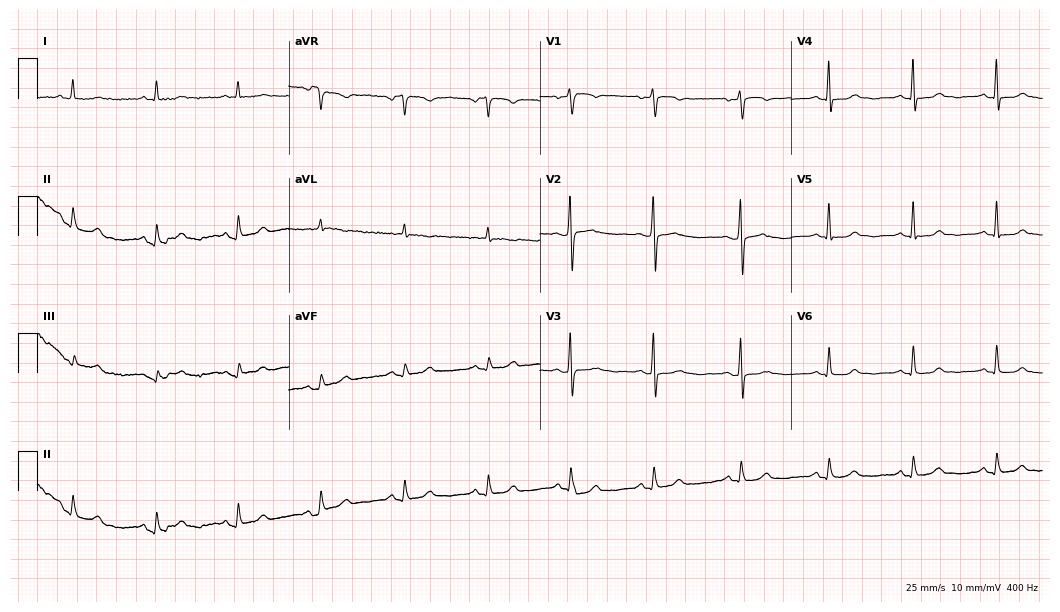
Standard 12-lead ECG recorded from a 62-year-old woman. None of these six findings is recorded: first-degree AV block, right bundle branch block (RBBB), left bundle branch block (LBBB), sinus bradycardia, atrial fibrillation (AF), sinus tachycardia.